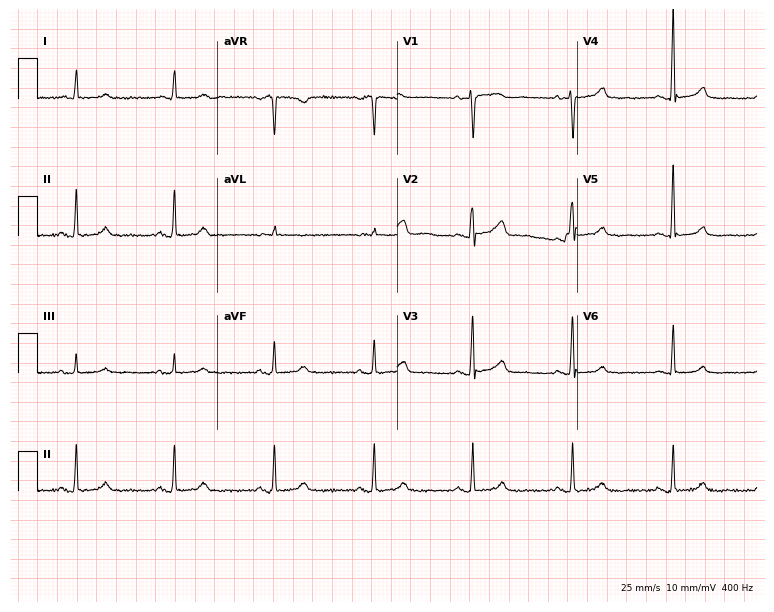
Electrocardiogram (7.3-second recording at 400 Hz), a female, 54 years old. Overall reading on record: normal ECG.